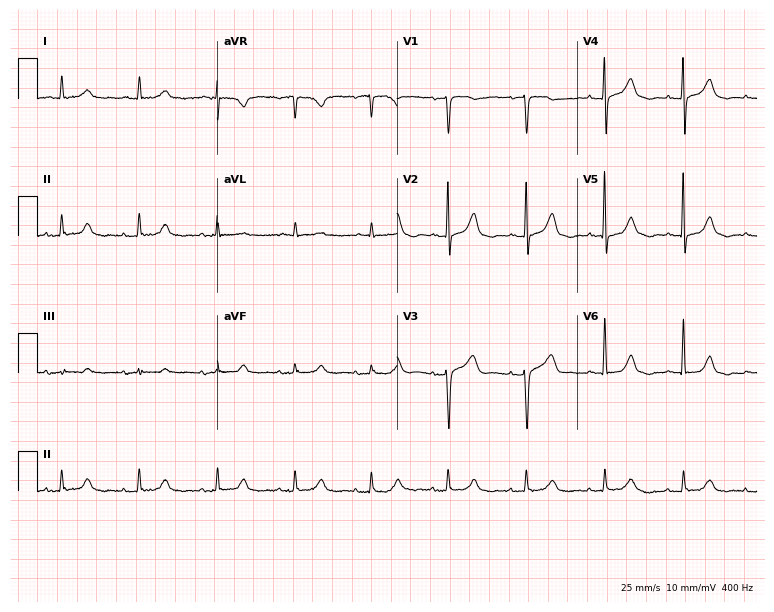
Electrocardiogram (7.3-second recording at 400 Hz), a female, 80 years old. Overall reading on record: normal ECG.